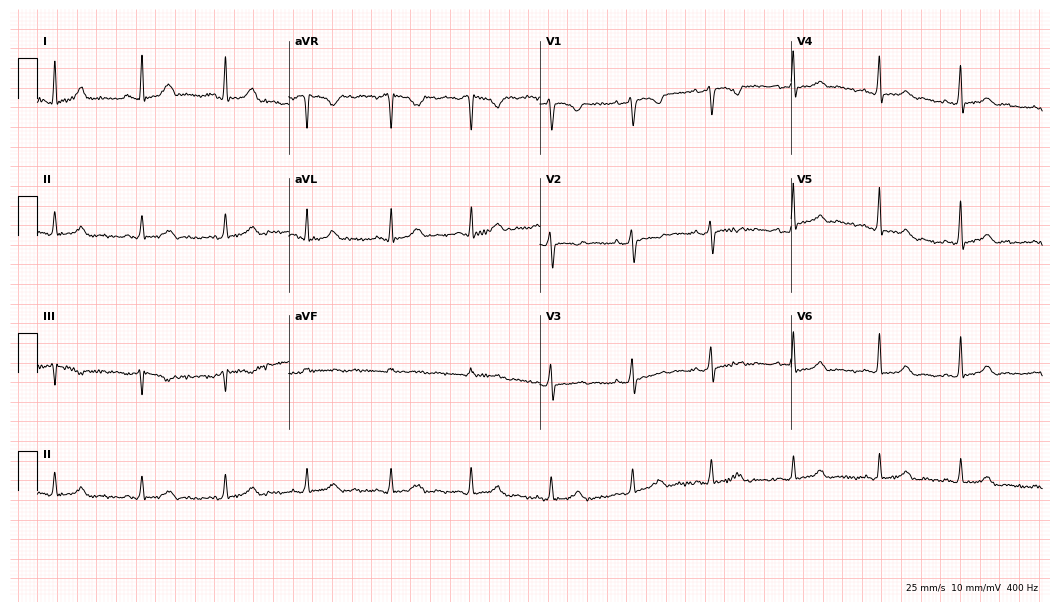
Standard 12-lead ECG recorded from a woman, 24 years old (10.2-second recording at 400 Hz). None of these six findings is recorded: first-degree AV block, right bundle branch block, left bundle branch block, sinus bradycardia, atrial fibrillation, sinus tachycardia.